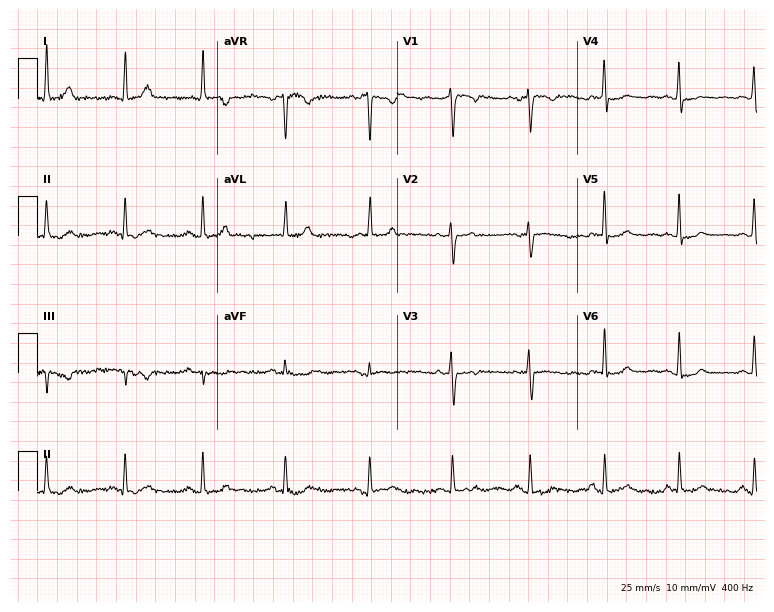
ECG — a 40-year-old female patient. Labelled as a normal ECG.